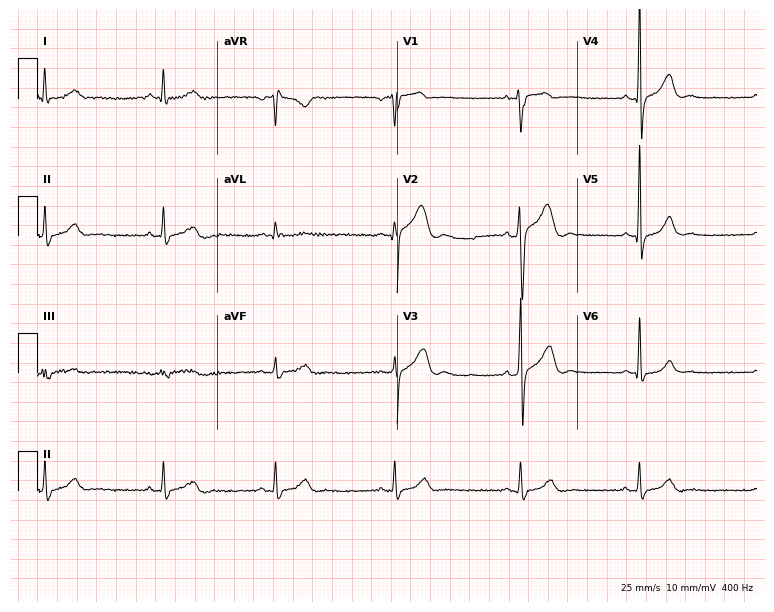
12-lead ECG from a male, 36 years old. Shows sinus bradycardia (a sinus rate of 50 beats per minute or less).